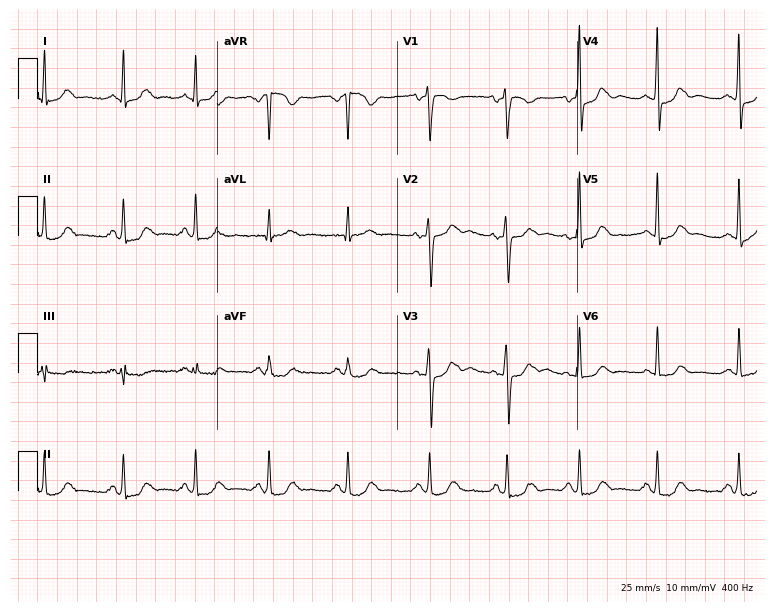
Standard 12-lead ECG recorded from a female, 43 years old. Read as a normal ECG.